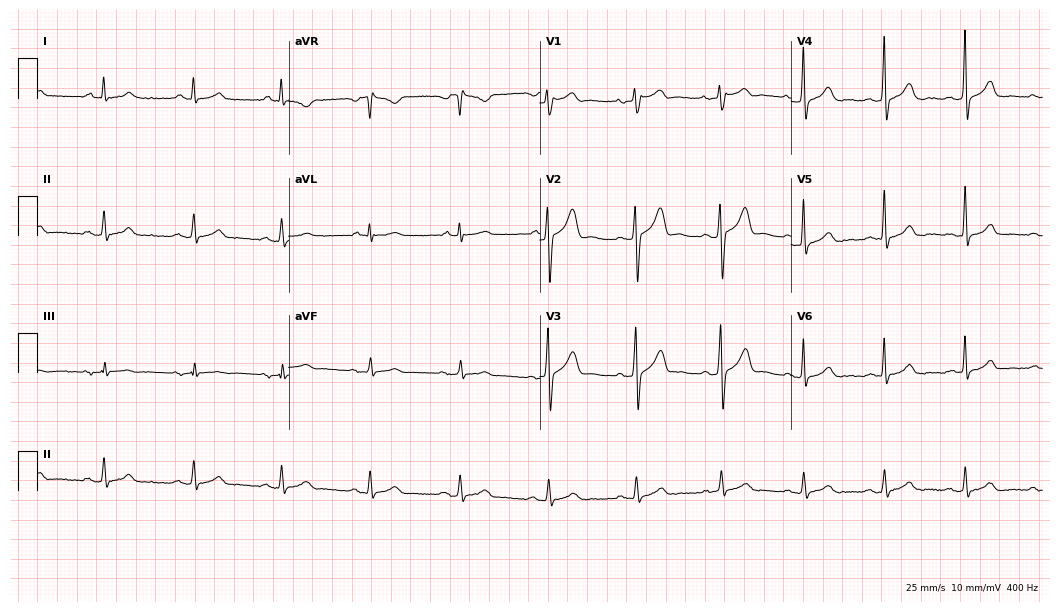
Resting 12-lead electrocardiogram. Patient: a 40-year-old man. None of these six findings is recorded: first-degree AV block, right bundle branch block (RBBB), left bundle branch block (LBBB), sinus bradycardia, atrial fibrillation (AF), sinus tachycardia.